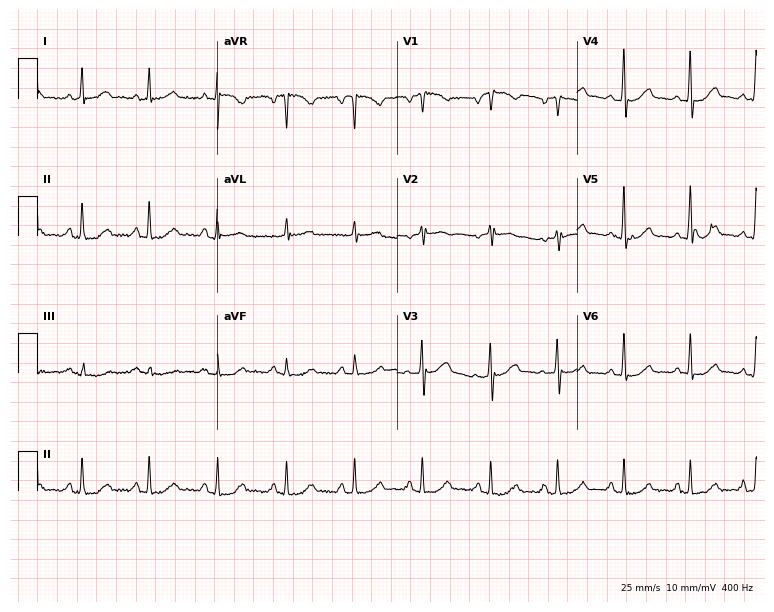
Resting 12-lead electrocardiogram. Patient: a 59-year-old female. Read as a normal ECG.